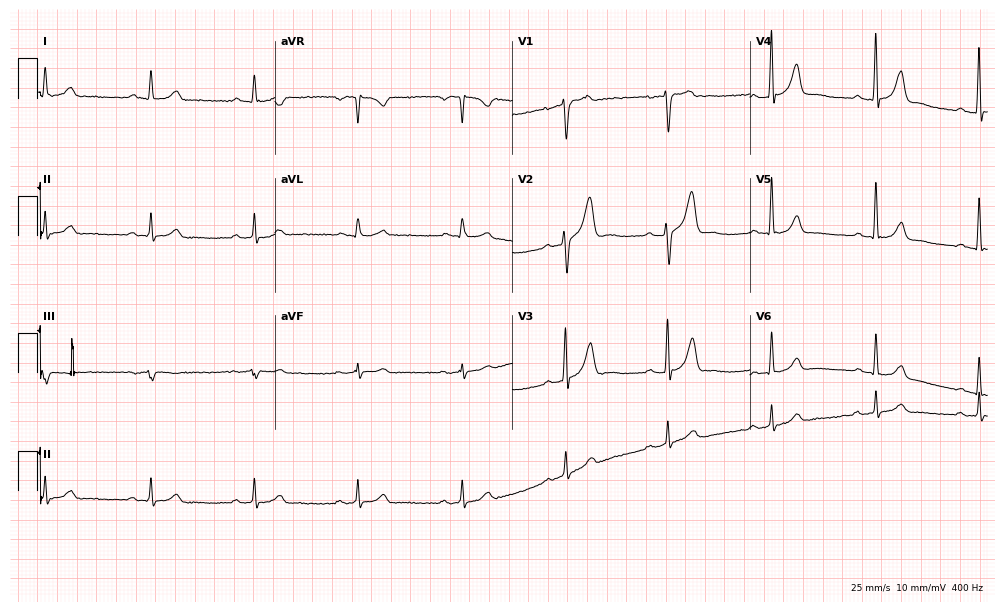
12-lead ECG from a female patient, 54 years old. Recorded interpretation: within normal limits.